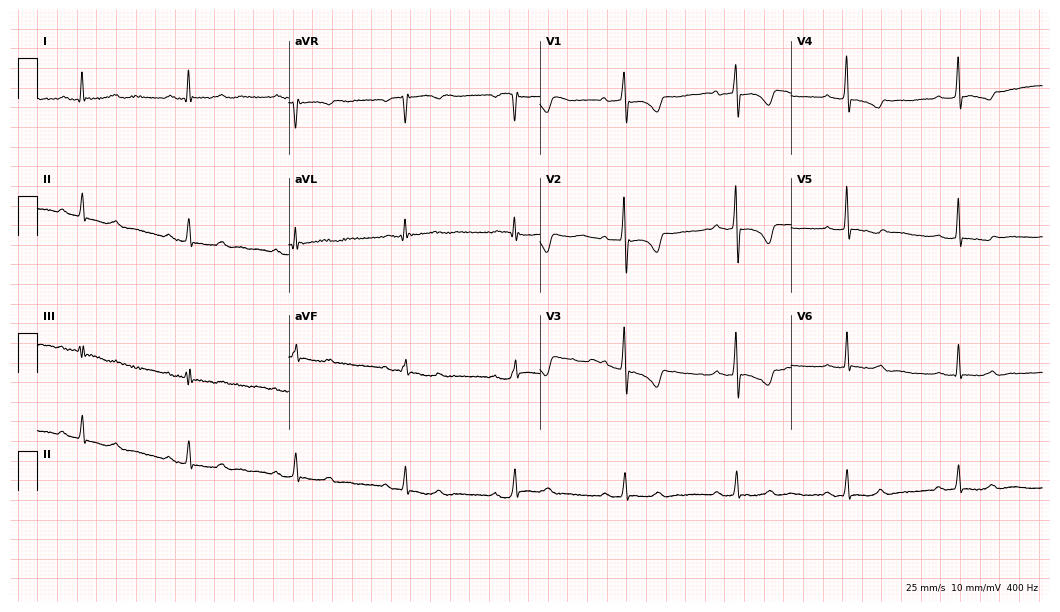
Resting 12-lead electrocardiogram (10.2-second recording at 400 Hz). Patient: a 61-year-old woman. None of these six findings is recorded: first-degree AV block, right bundle branch block, left bundle branch block, sinus bradycardia, atrial fibrillation, sinus tachycardia.